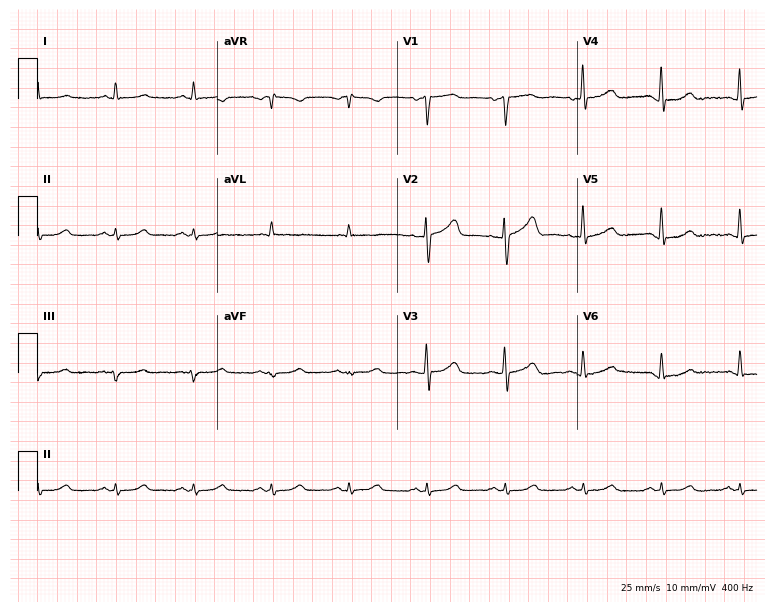
Electrocardiogram (7.3-second recording at 400 Hz), a man, 63 years old. Of the six screened findings (first-degree AV block, right bundle branch block, left bundle branch block, sinus bradycardia, atrial fibrillation, sinus tachycardia), none is recorded.